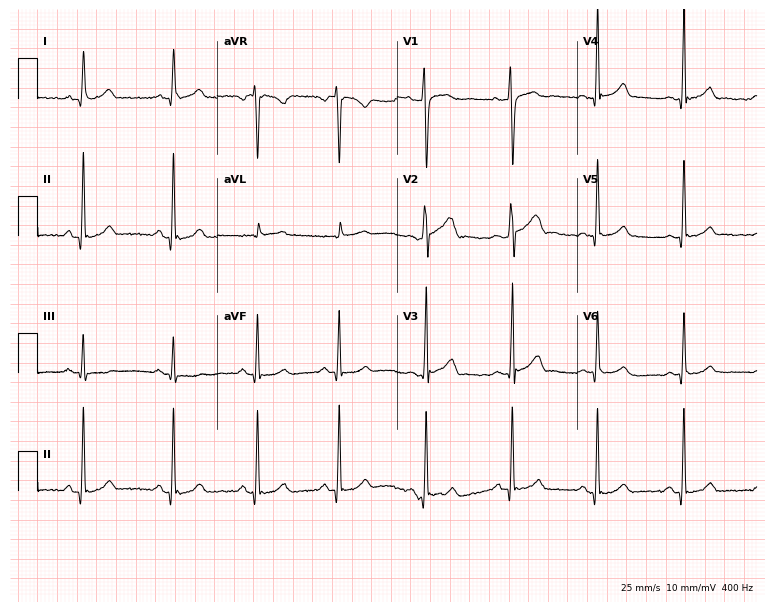
12-lead ECG from a 28-year-old male patient. Screened for six findings — first-degree AV block, right bundle branch block, left bundle branch block, sinus bradycardia, atrial fibrillation, sinus tachycardia — none is recorded.